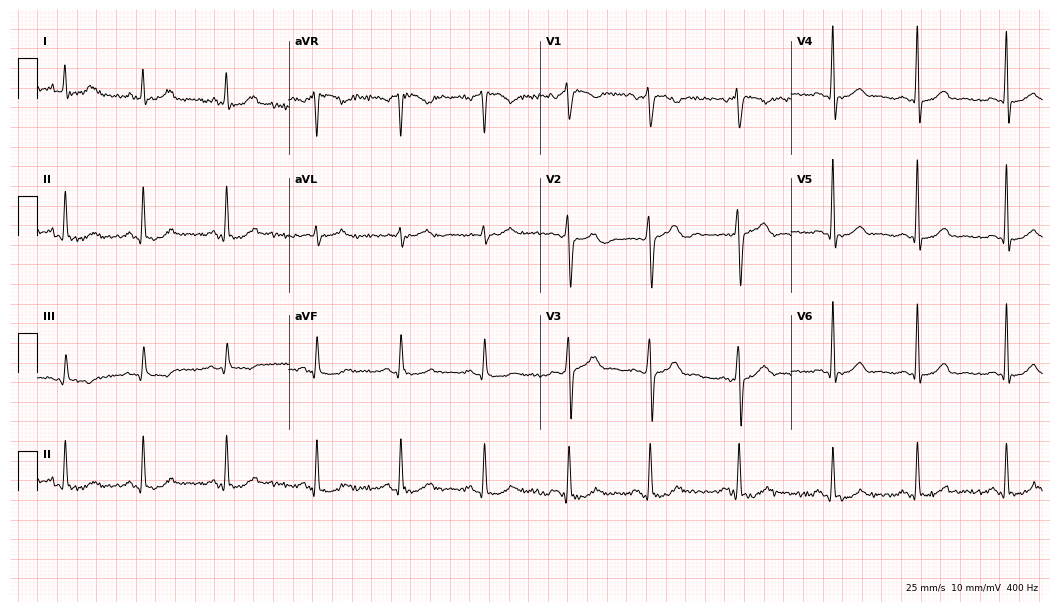
Standard 12-lead ECG recorded from a 28-year-old male. Read as a normal ECG.